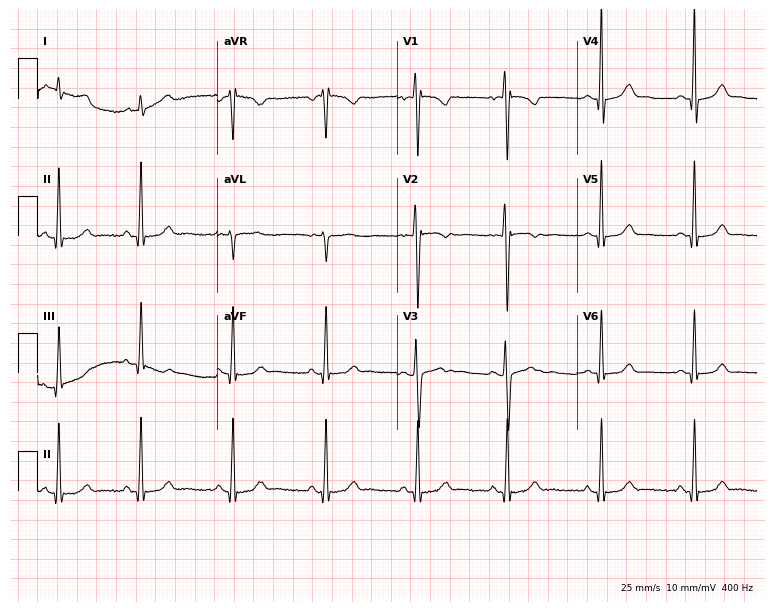
12-lead ECG (7.3-second recording at 400 Hz) from a female, 18 years old. Labelled as a normal ECG.